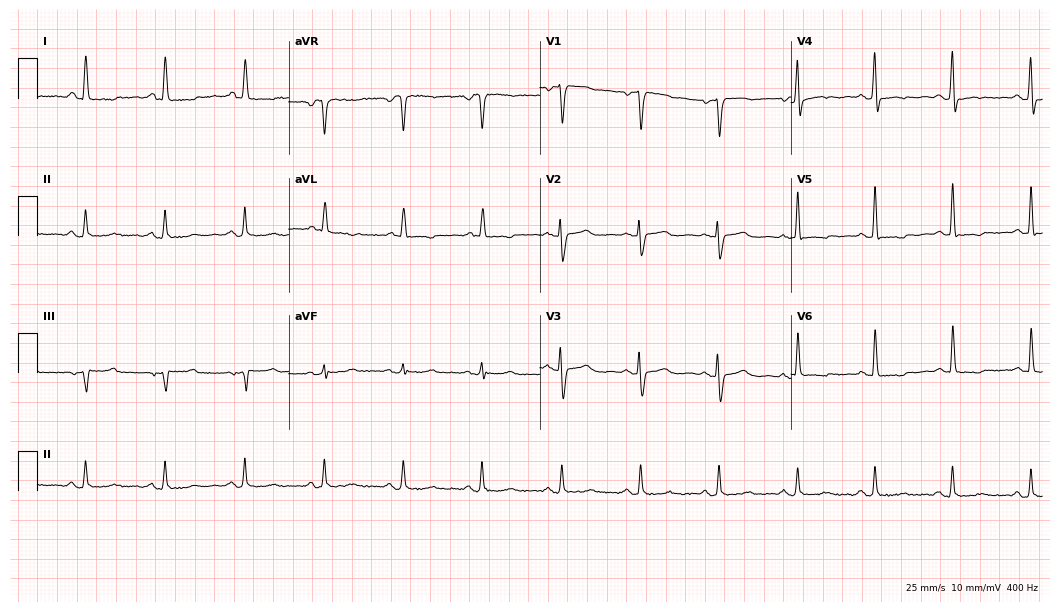
Resting 12-lead electrocardiogram (10.2-second recording at 400 Hz). Patient: a woman, 55 years old. None of these six findings is recorded: first-degree AV block, right bundle branch block, left bundle branch block, sinus bradycardia, atrial fibrillation, sinus tachycardia.